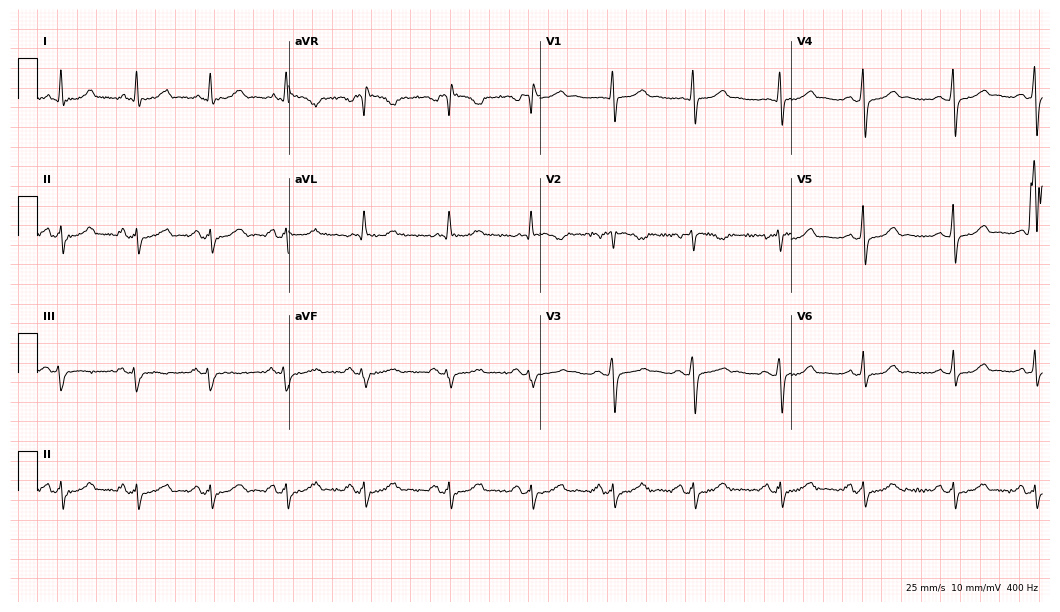
Electrocardiogram, a 43-year-old woman. Of the six screened findings (first-degree AV block, right bundle branch block (RBBB), left bundle branch block (LBBB), sinus bradycardia, atrial fibrillation (AF), sinus tachycardia), none is recorded.